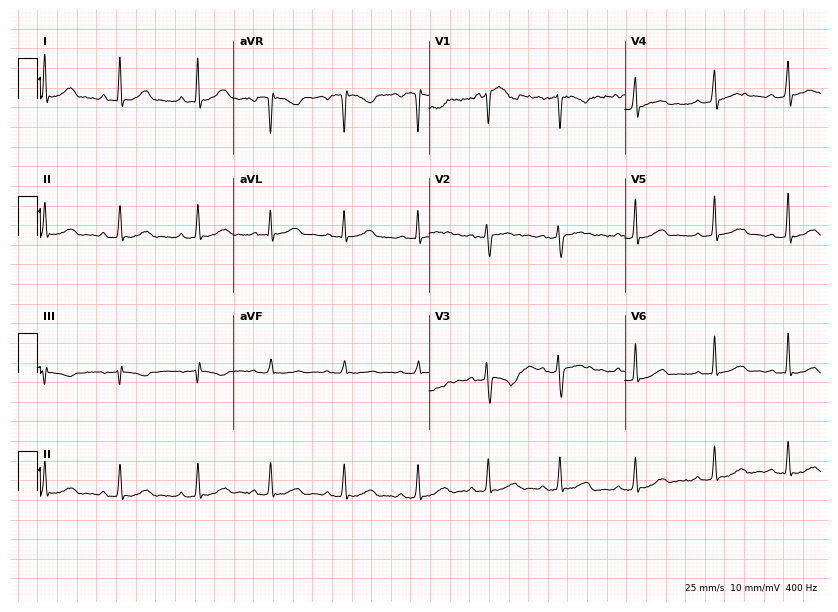
12-lead ECG from a woman, 20 years old (8-second recording at 400 Hz). No first-degree AV block, right bundle branch block, left bundle branch block, sinus bradycardia, atrial fibrillation or sinus tachycardia recorded for this tracing.